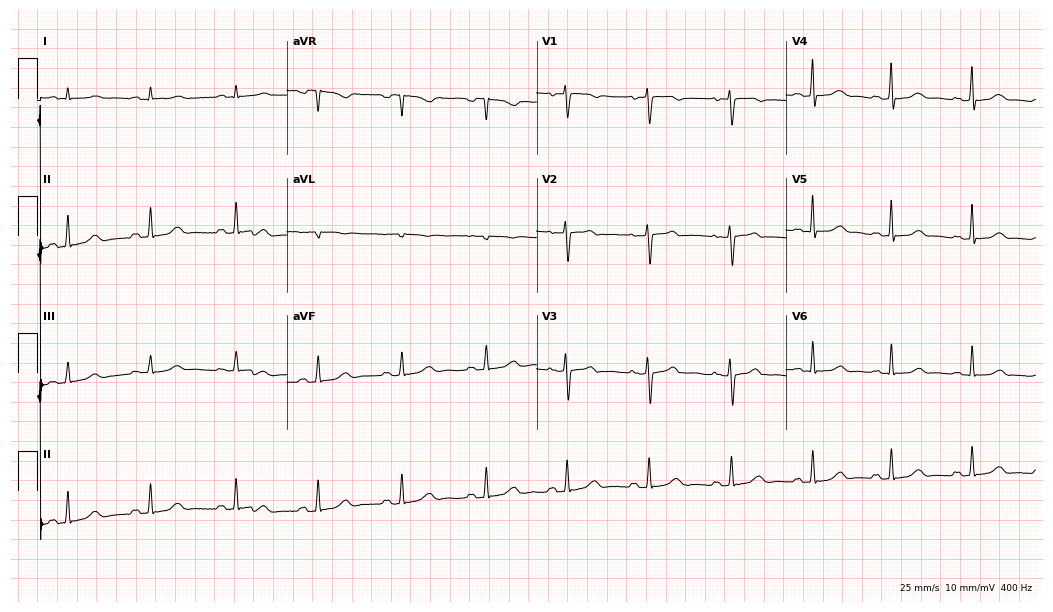
Standard 12-lead ECG recorded from a 49-year-old female patient (10.2-second recording at 400 Hz). Read as a normal ECG.